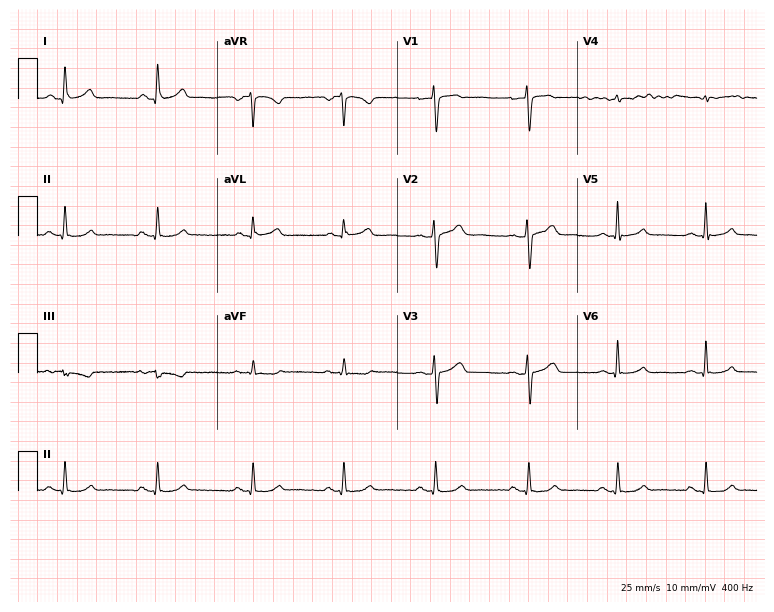
Resting 12-lead electrocardiogram (7.3-second recording at 400 Hz). Patient: a 35-year-old woman. None of these six findings is recorded: first-degree AV block, right bundle branch block (RBBB), left bundle branch block (LBBB), sinus bradycardia, atrial fibrillation (AF), sinus tachycardia.